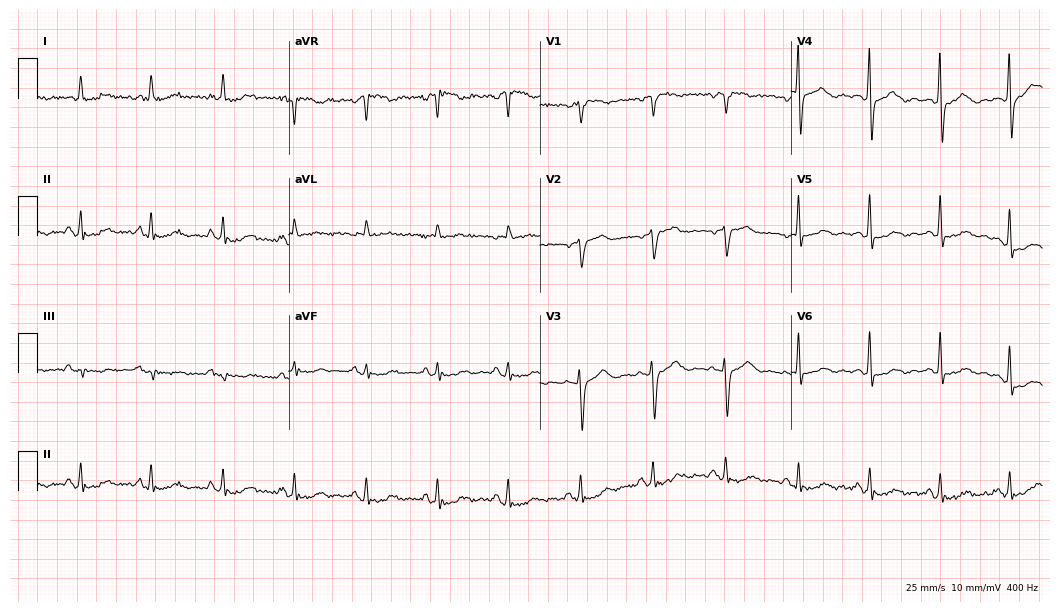
Electrocardiogram, a 73-year-old female patient. Of the six screened findings (first-degree AV block, right bundle branch block, left bundle branch block, sinus bradycardia, atrial fibrillation, sinus tachycardia), none is recorded. Other findings, if any, are not listed.